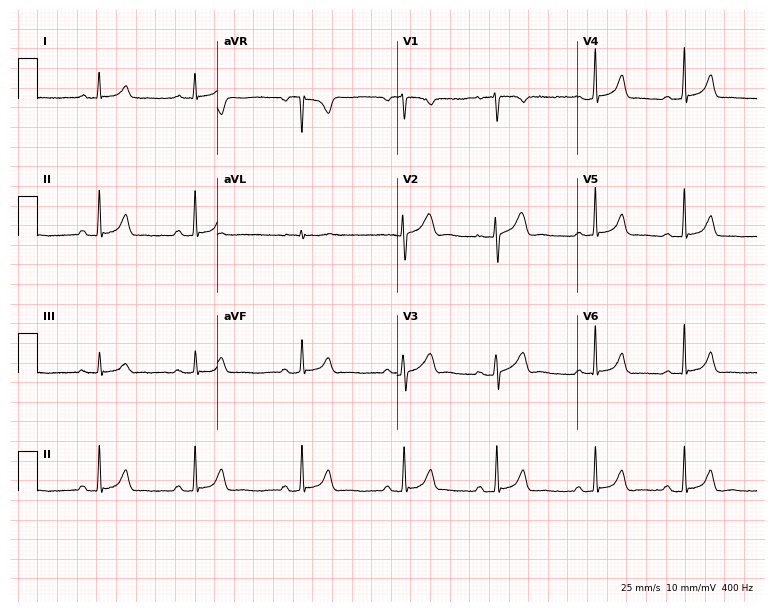
Resting 12-lead electrocardiogram. Patient: a 27-year-old female. Read as a normal ECG.